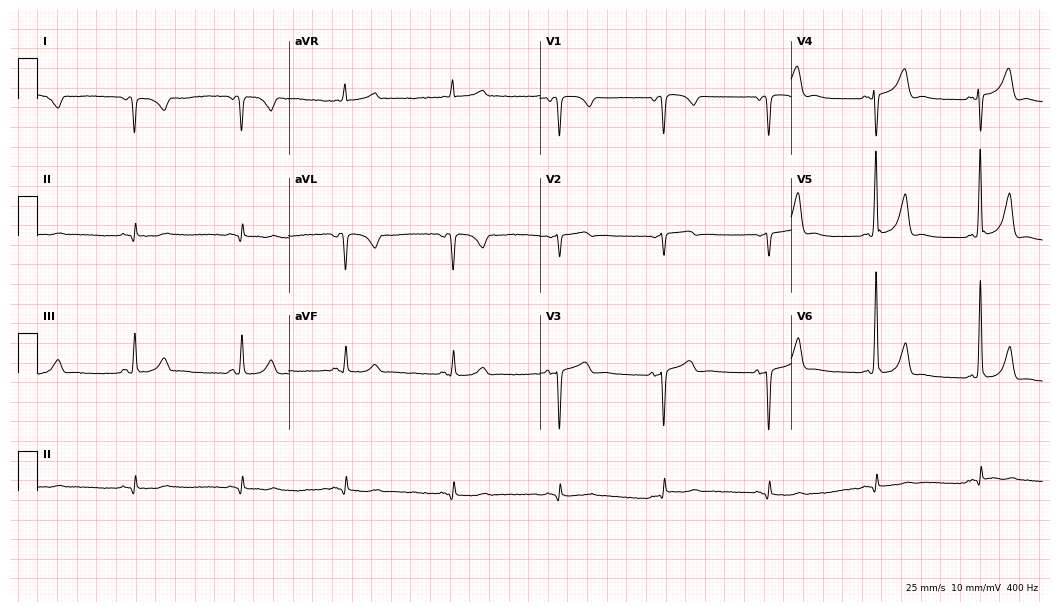
Standard 12-lead ECG recorded from an 82-year-old female. None of these six findings is recorded: first-degree AV block, right bundle branch block (RBBB), left bundle branch block (LBBB), sinus bradycardia, atrial fibrillation (AF), sinus tachycardia.